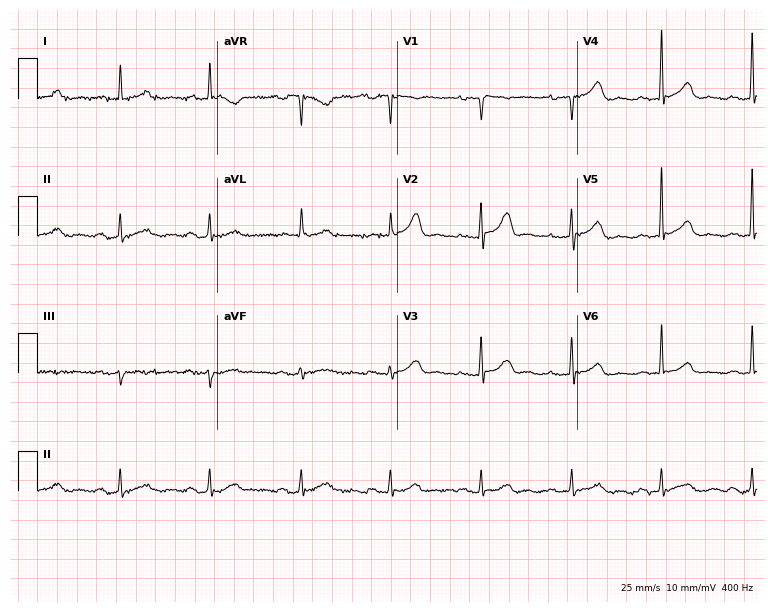
Resting 12-lead electrocardiogram. Patient: a female, 79 years old. None of these six findings is recorded: first-degree AV block, right bundle branch block (RBBB), left bundle branch block (LBBB), sinus bradycardia, atrial fibrillation (AF), sinus tachycardia.